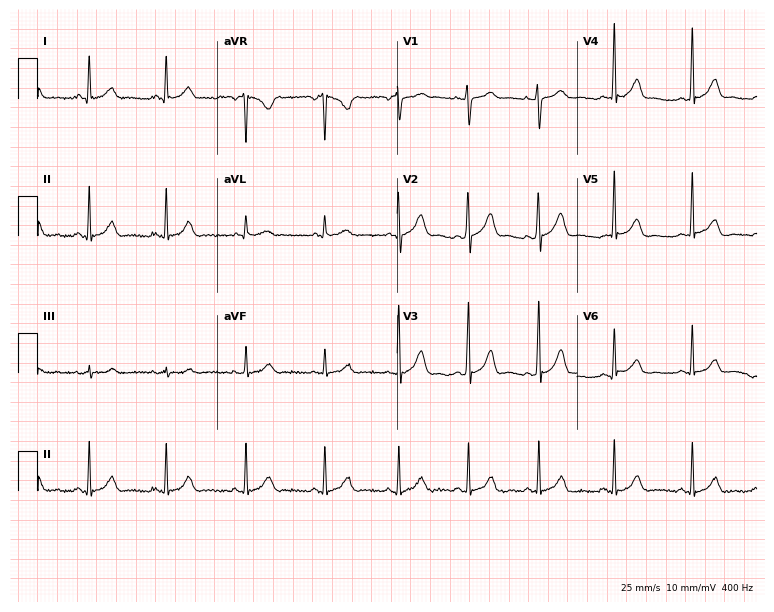
12-lead ECG from a woman, 27 years old. Labelled as a normal ECG.